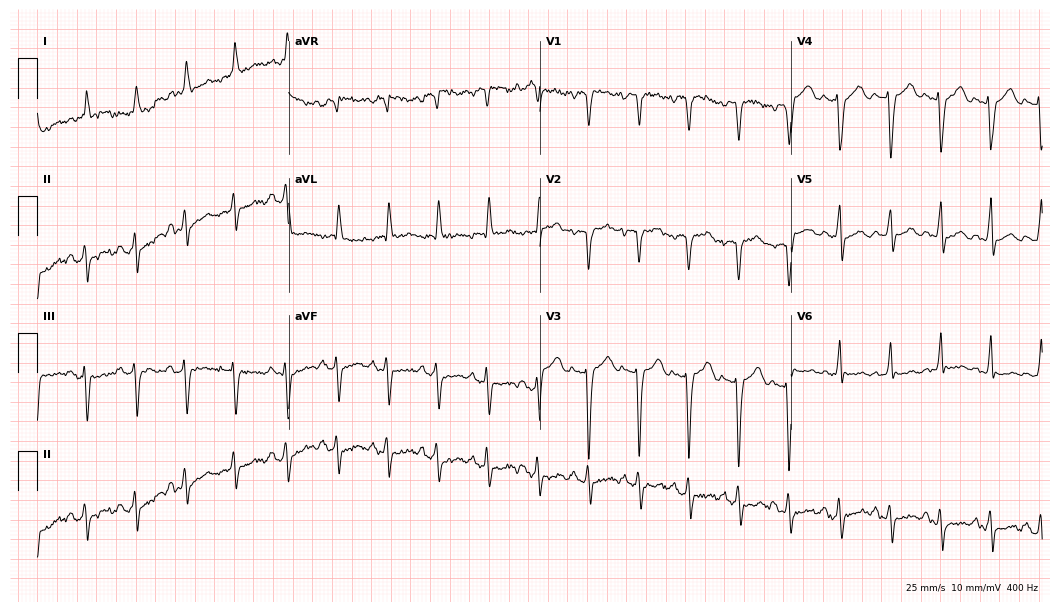
ECG (10.2-second recording at 400 Hz) — a male, 84 years old. Screened for six findings — first-degree AV block, right bundle branch block (RBBB), left bundle branch block (LBBB), sinus bradycardia, atrial fibrillation (AF), sinus tachycardia — none is recorded.